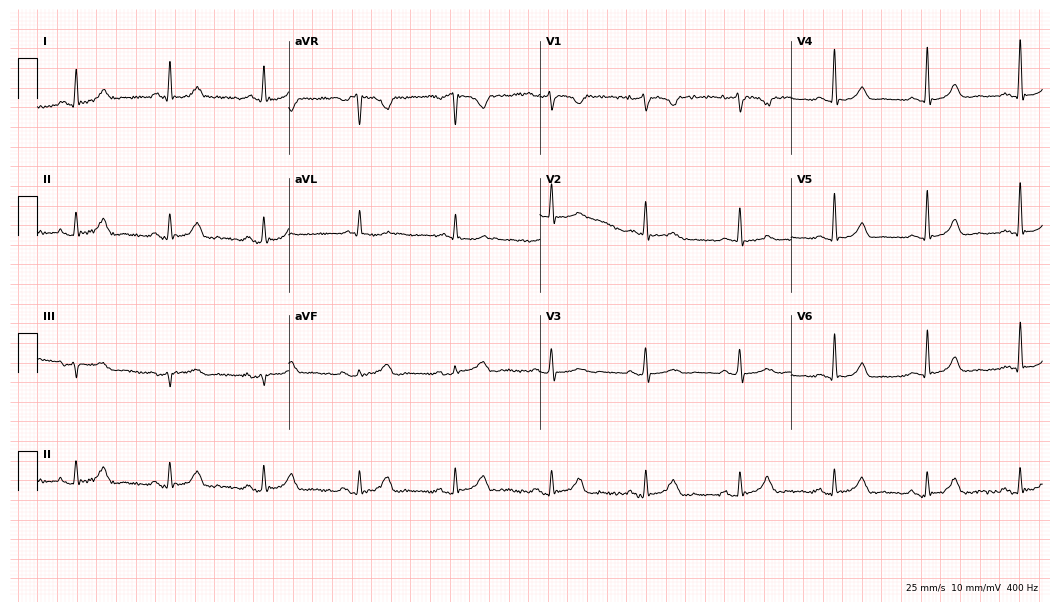
12-lead ECG from a female, 78 years old. Recorded interpretation: within normal limits.